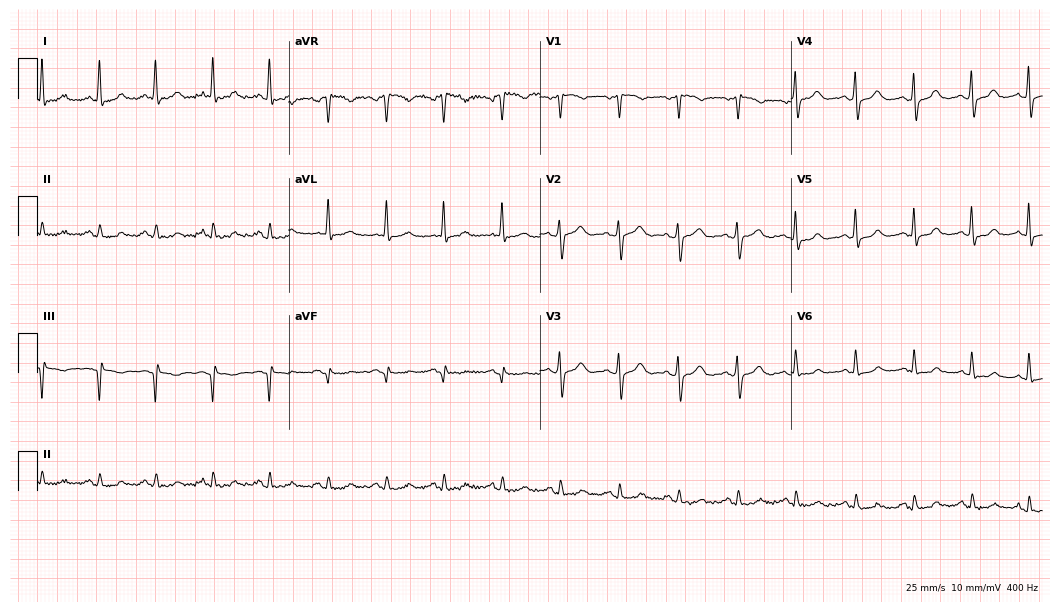
12-lead ECG from a woman, 74 years old. Shows sinus tachycardia (a sinus rate of 100 beats per minute or more).